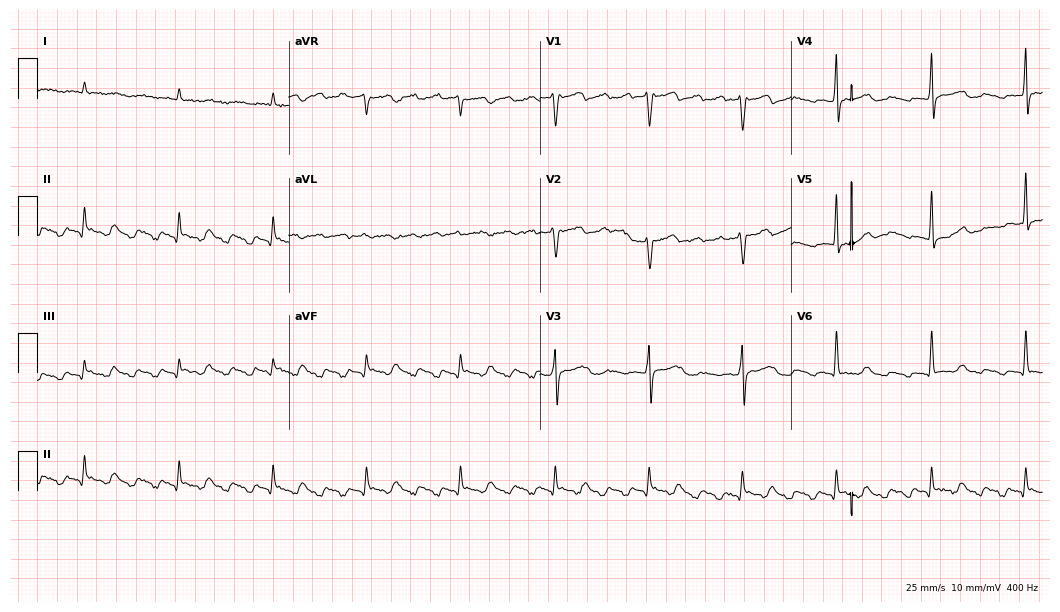
12-lead ECG from a man, 68 years old. No first-degree AV block, right bundle branch block, left bundle branch block, sinus bradycardia, atrial fibrillation or sinus tachycardia recorded for this tracing. Findings outside these six are not listed.